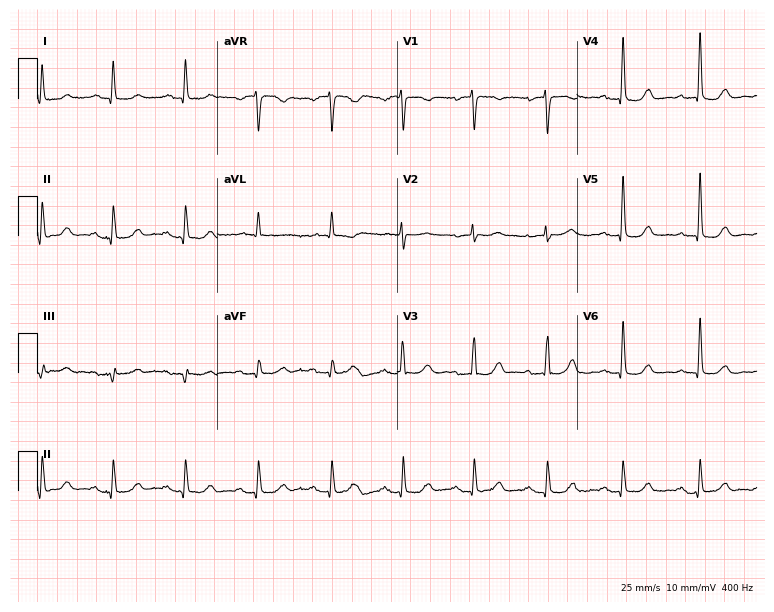
12-lead ECG (7.3-second recording at 400 Hz) from a female patient, 65 years old. Screened for six findings — first-degree AV block, right bundle branch block (RBBB), left bundle branch block (LBBB), sinus bradycardia, atrial fibrillation (AF), sinus tachycardia — none is recorded. Other findings, if any, are not listed.